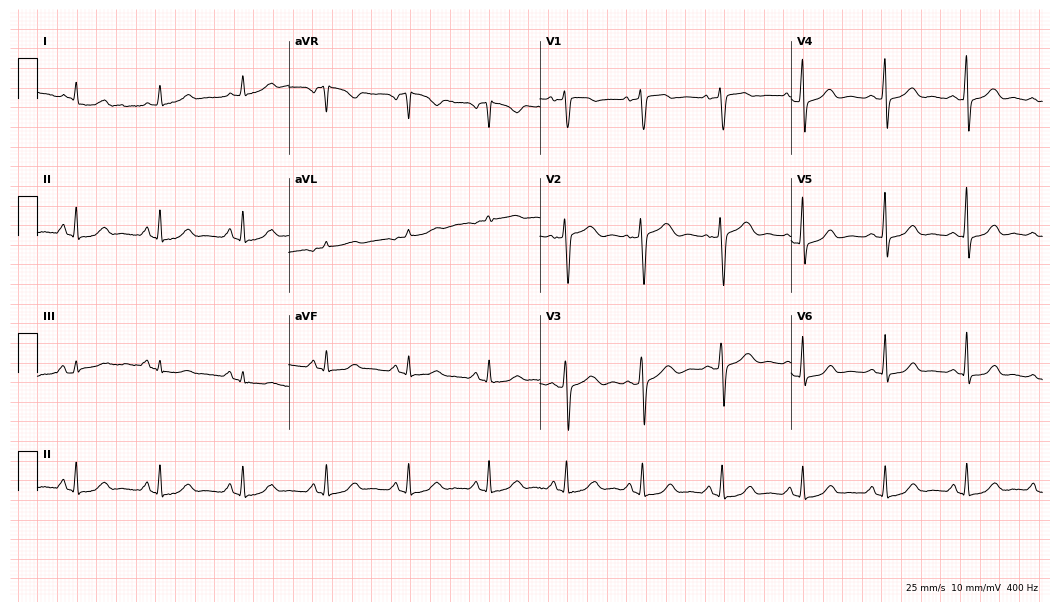
12-lead ECG from a 58-year-old female patient. Recorded interpretation: within normal limits.